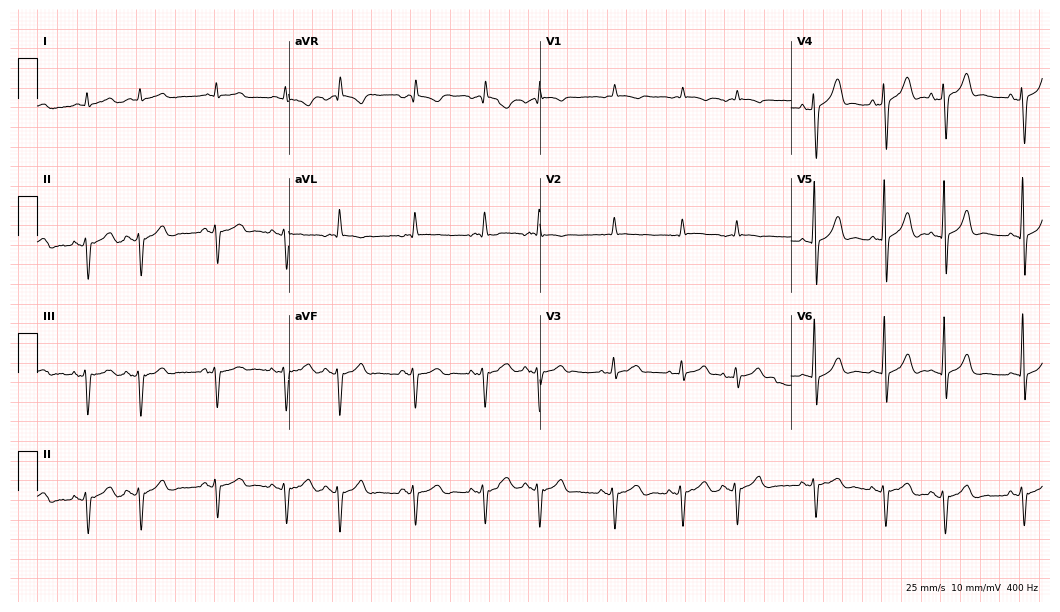
Standard 12-lead ECG recorded from a male, 65 years old. None of these six findings is recorded: first-degree AV block, right bundle branch block (RBBB), left bundle branch block (LBBB), sinus bradycardia, atrial fibrillation (AF), sinus tachycardia. Only these six findings were labelled.